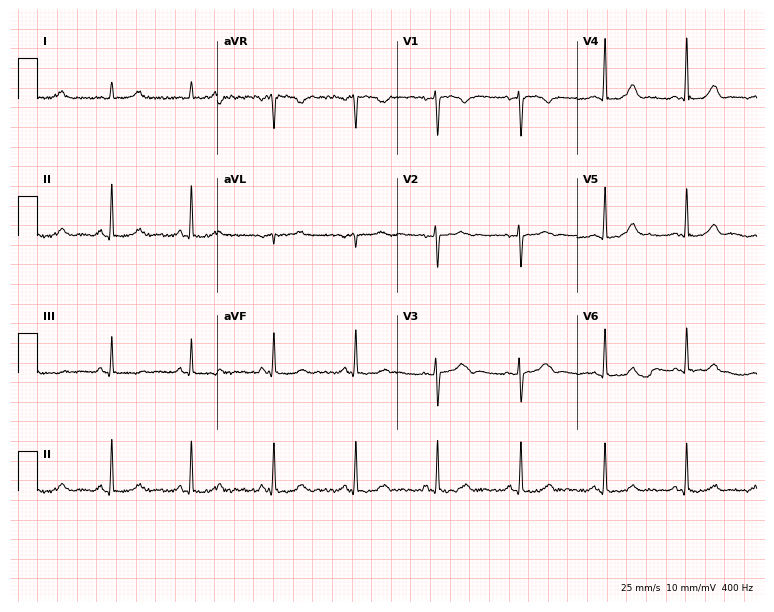
Electrocardiogram (7.3-second recording at 400 Hz), a woman, 41 years old. Overall reading on record: normal ECG.